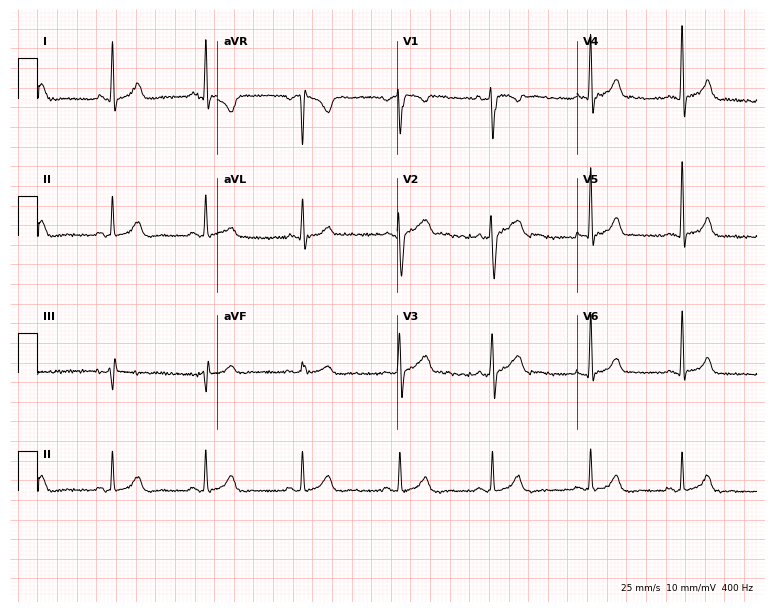
12-lead ECG from a 31-year-old female (7.3-second recording at 400 Hz). Recorded interpretation: within normal limits.